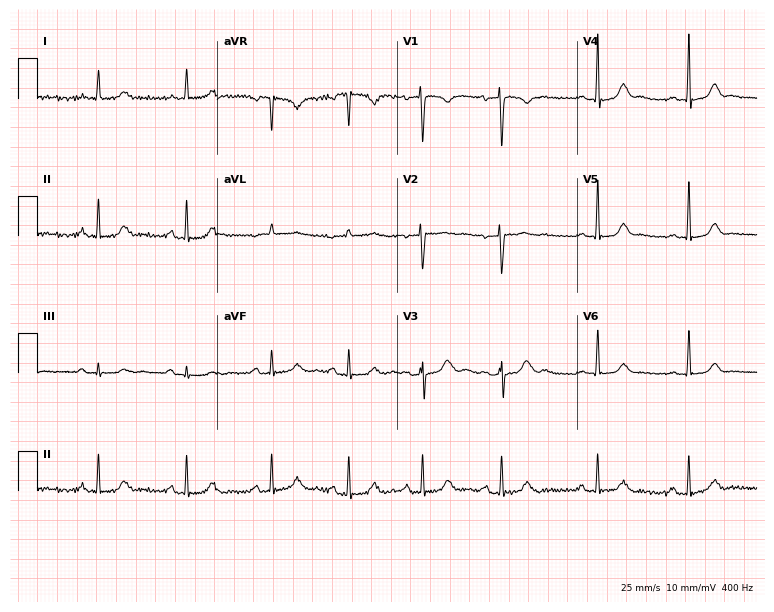
Standard 12-lead ECG recorded from a 38-year-old woman. Read as a normal ECG.